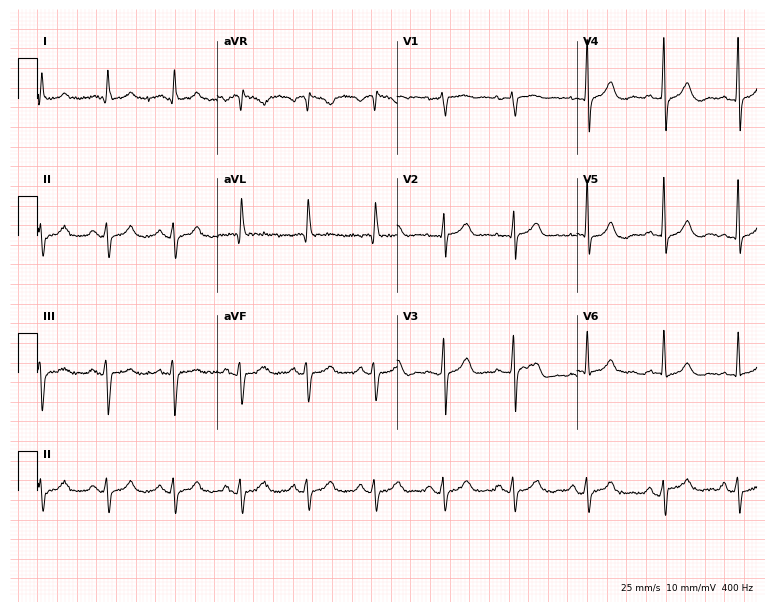
12-lead ECG from a man, 70 years old (7.3-second recording at 400 Hz). No first-degree AV block, right bundle branch block, left bundle branch block, sinus bradycardia, atrial fibrillation or sinus tachycardia recorded for this tracing. Only these six findings were labelled.